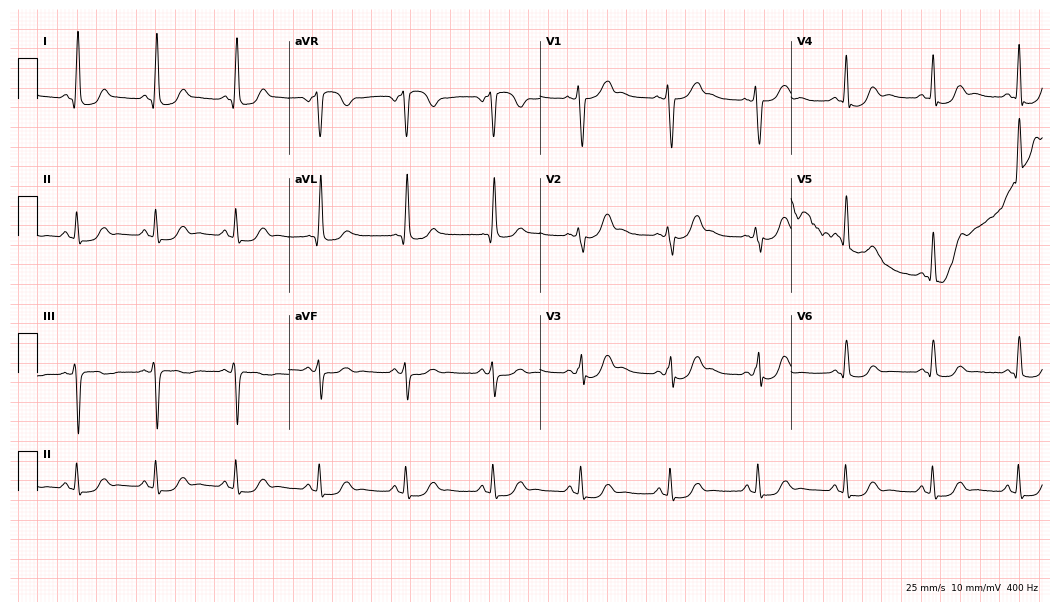
Resting 12-lead electrocardiogram (10.2-second recording at 400 Hz). Patient: a 62-year-old female. None of these six findings is recorded: first-degree AV block, right bundle branch block, left bundle branch block, sinus bradycardia, atrial fibrillation, sinus tachycardia.